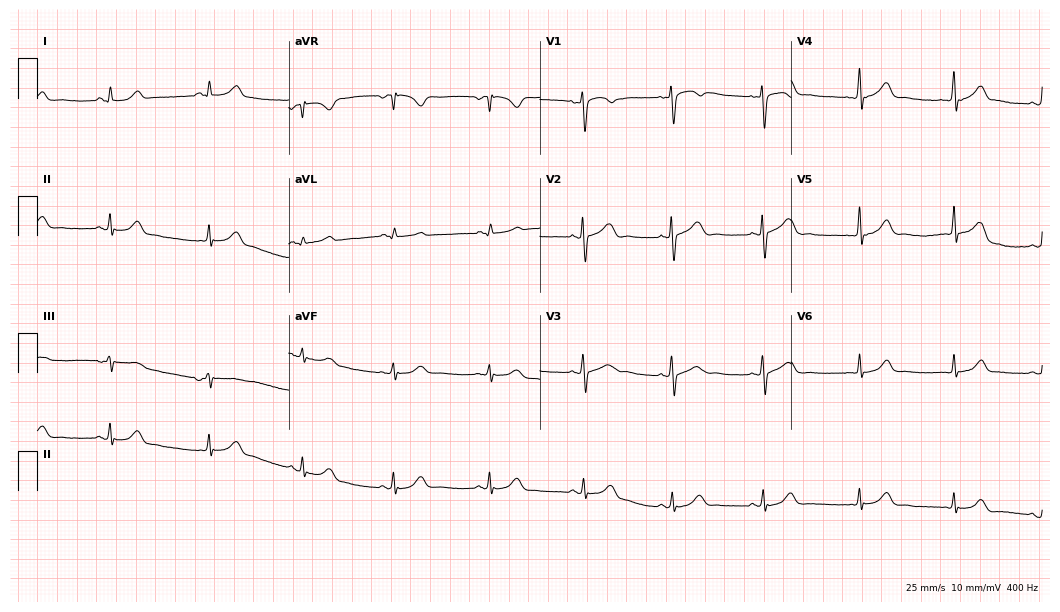
Standard 12-lead ECG recorded from a woman, 46 years old (10.2-second recording at 400 Hz). Read as a normal ECG.